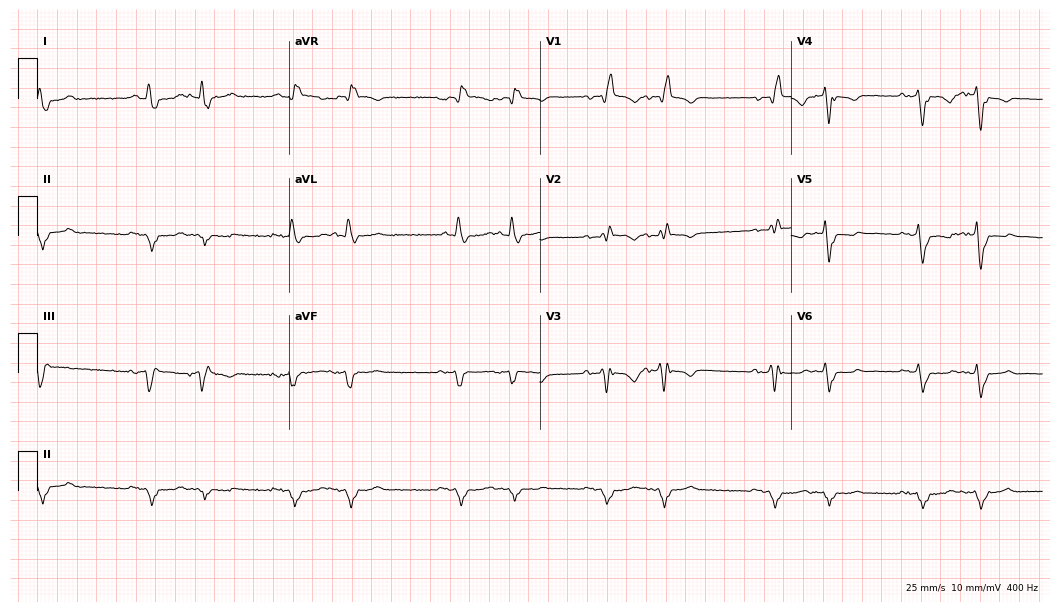
Electrocardiogram, a male, 80 years old. Interpretation includes right bundle branch block.